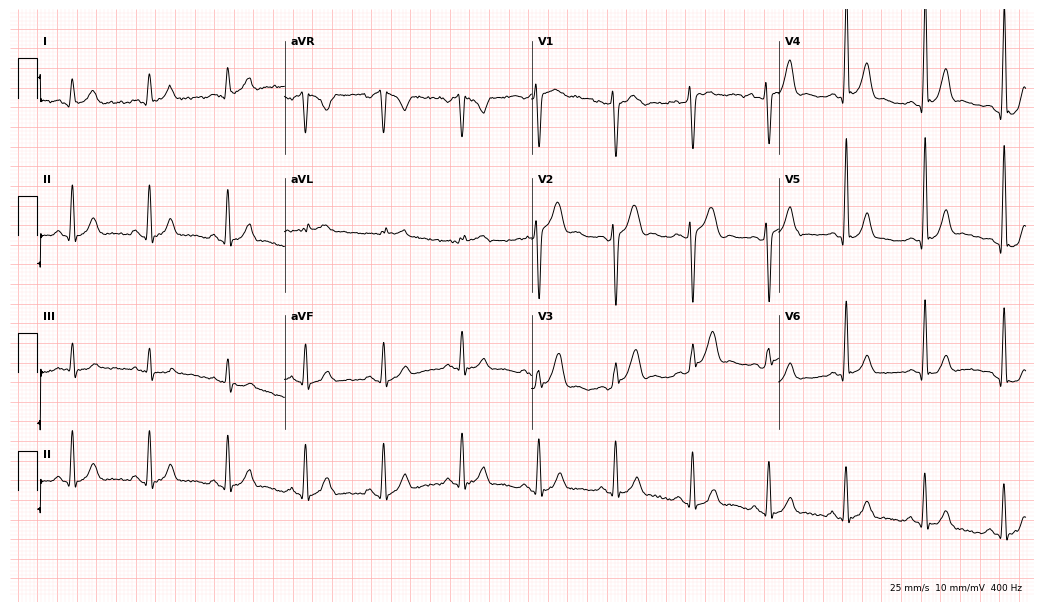
ECG (10.1-second recording at 400 Hz) — a 23-year-old man. Labelled as a normal ECG.